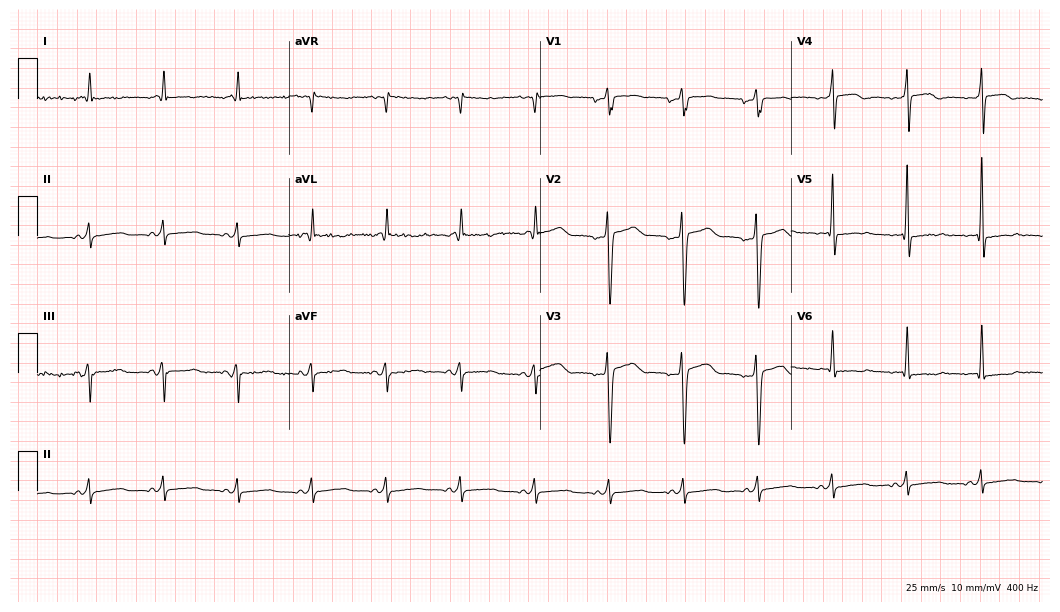
Standard 12-lead ECG recorded from a woman, 79 years old (10.2-second recording at 400 Hz). None of these six findings is recorded: first-degree AV block, right bundle branch block (RBBB), left bundle branch block (LBBB), sinus bradycardia, atrial fibrillation (AF), sinus tachycardia.